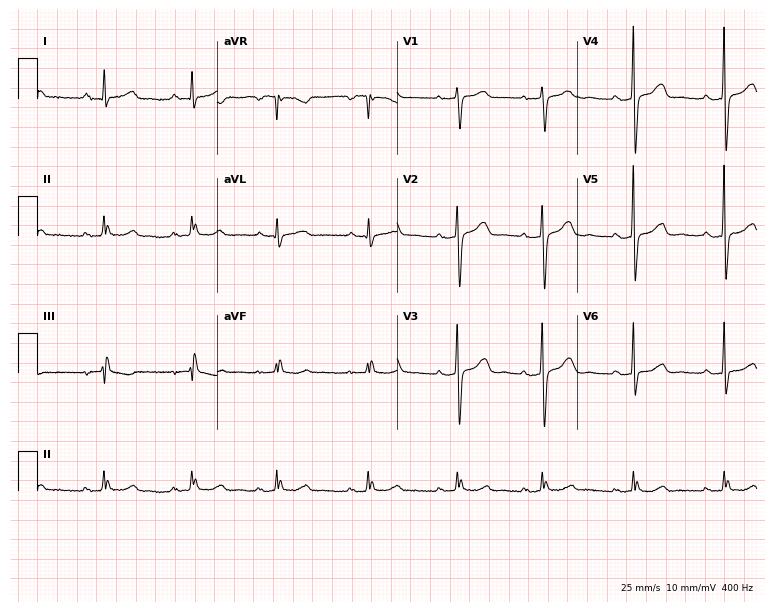
Standard 12-lead ECG recorded from a female, 68 years old (7.3-second recording at 400 Hz). Read as a normal ECG.